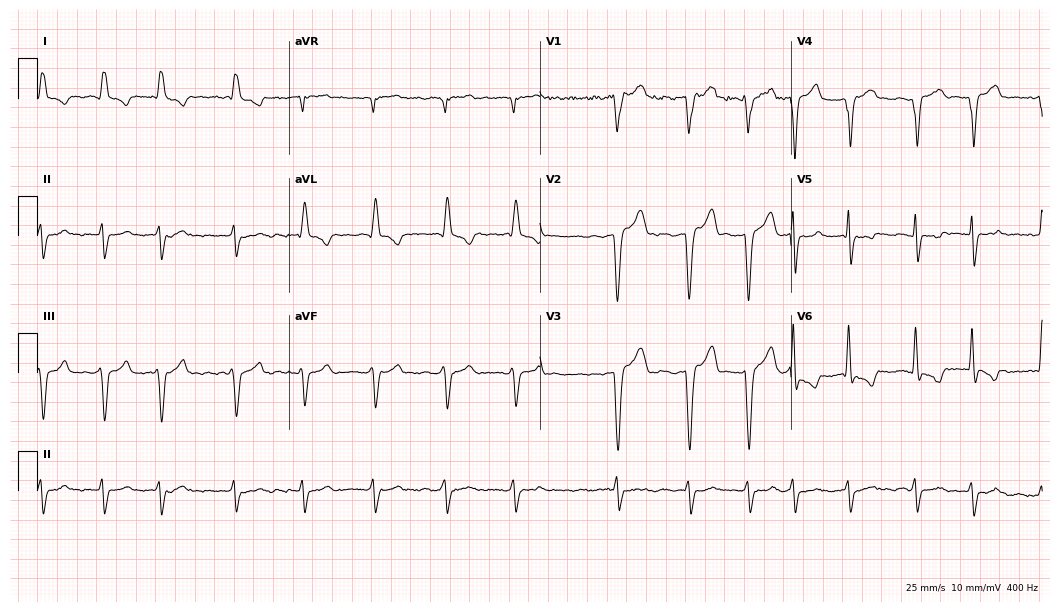
Resting 12-lead electrocardiogram. Patient: a male, 58 years old. The tracing shows left bundle branch block (LBBB), atrial fibrillation (AF).